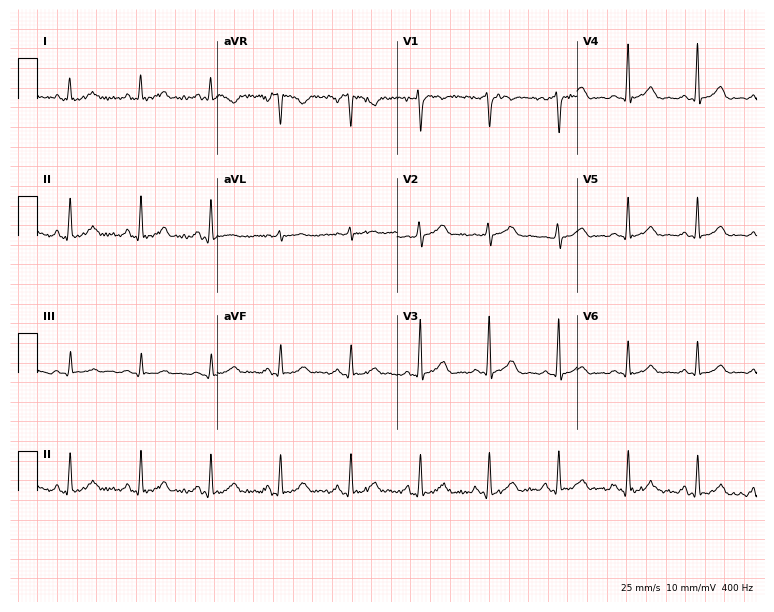
Electrocardiogram (7.3-second recording at 400 Hz), a female patient, 34 years old. Of the six screened findings (first-degree AV block, right bundle branch block, left bundle branch block, sinus bradycardia, atrial fibrillation, sinus tachycardia), none is recorded. Other findings, if any, are not listed.